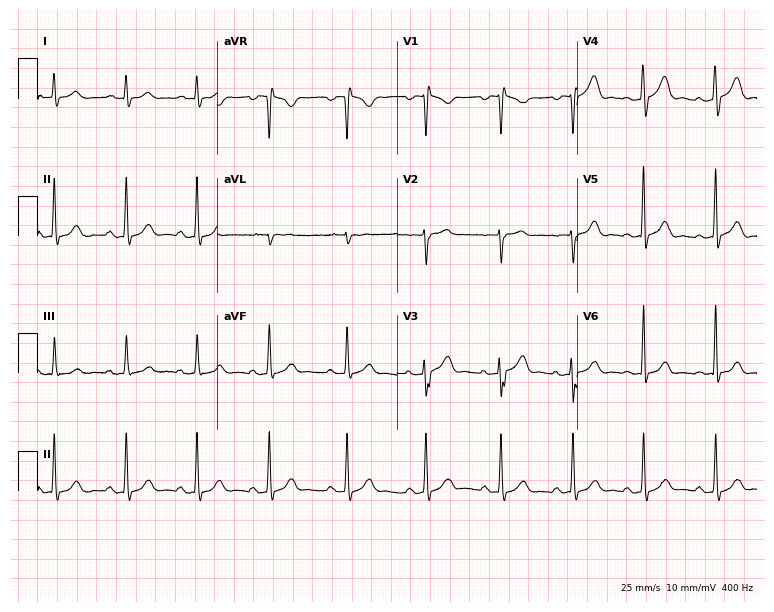
ECG — a 43-year-old woman. Labelled as a normal ECG.